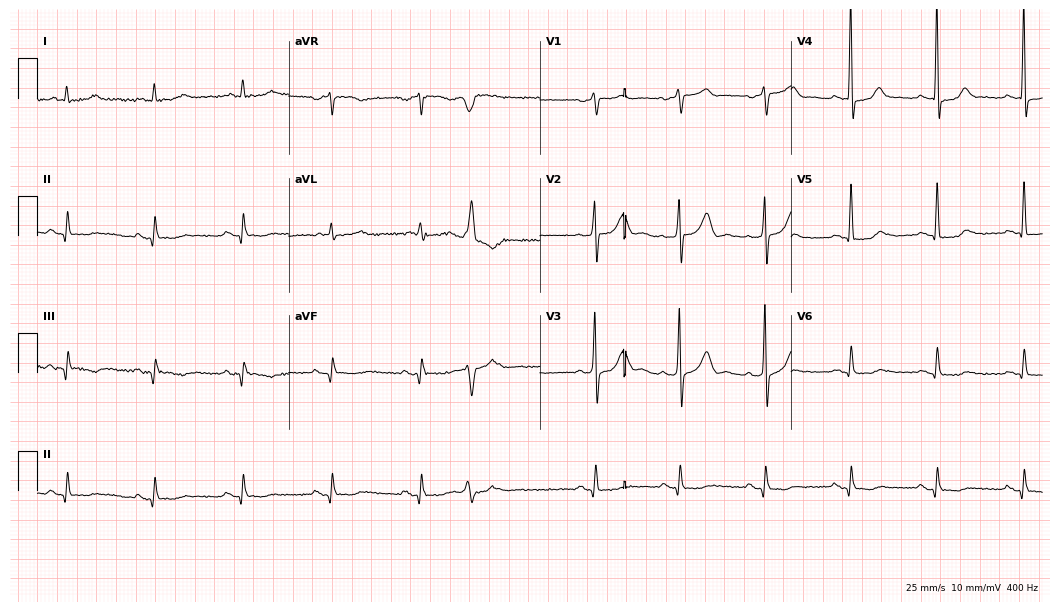
12-lead ECG from a man, 84 years old. Screened for six findings — first-degree AV block, right bundle branch block, left bundle branch block, sinus bradycardia, atrial fibrillation, sinus tachycardia — none is recorded.